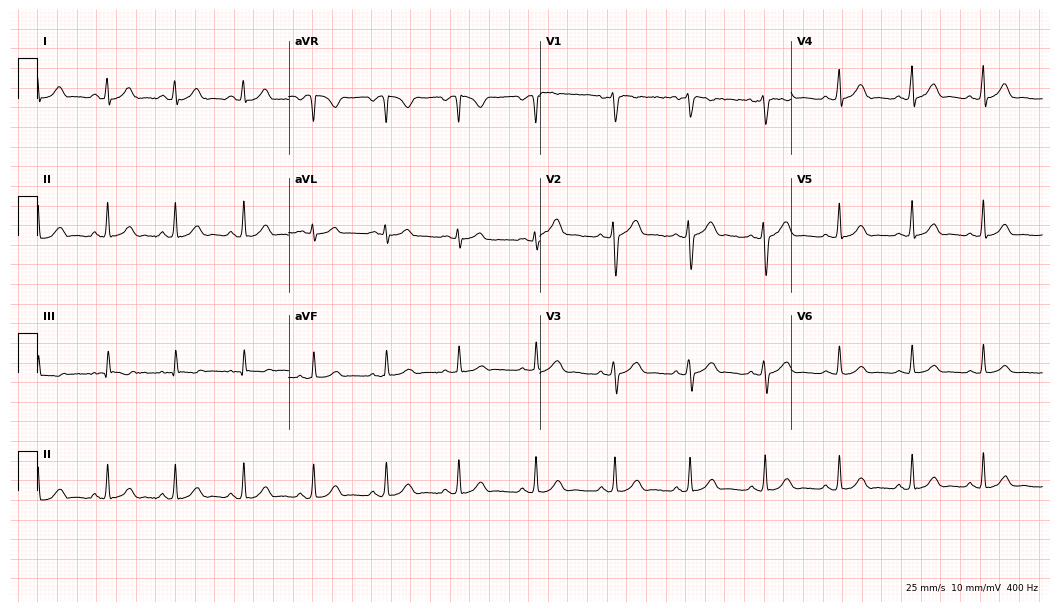
Resting 12-lead electrocardiogram (10.2-second recording at 400 Hz). Patient: a female, 36 years old. Read as a normal ECG.